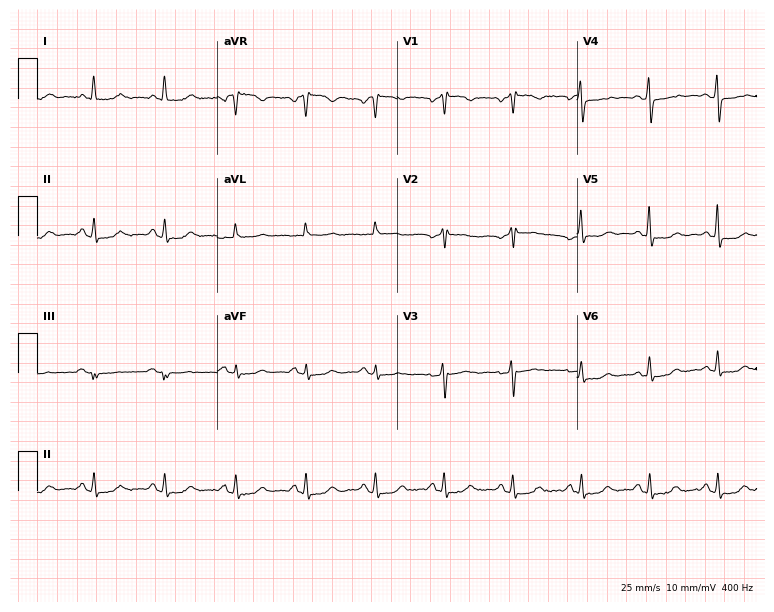
ECG — a female patient, 60 years old. Screened for six findings — first-degree AV block, right bundle branch block, left bundle branch block, sinus bradycardia, atrial fibrillation, sinus tachycardia — none is recorded. Findings outside these six are not listed.